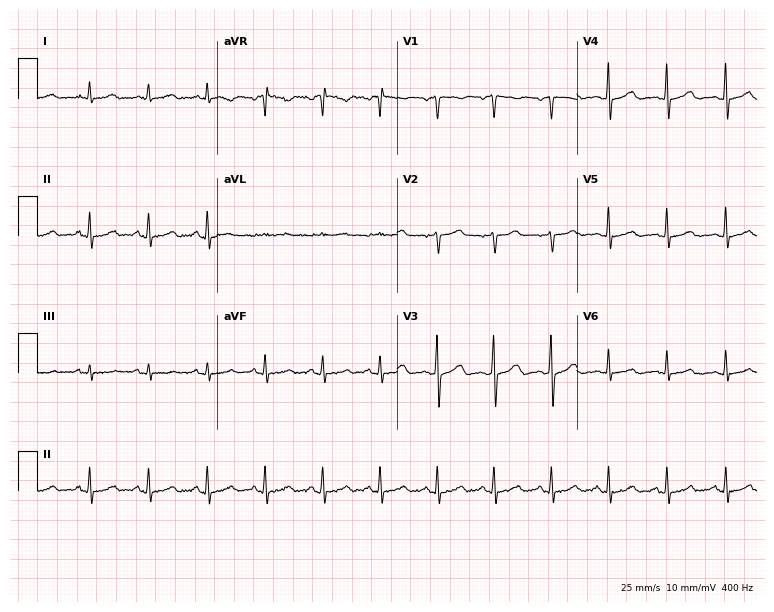
Resting 12-lead electrocardiogram. Patient: a man, 68 years old. The tracing shows sinus tachycardia (a sinus rate of 100 beats per minute or more).